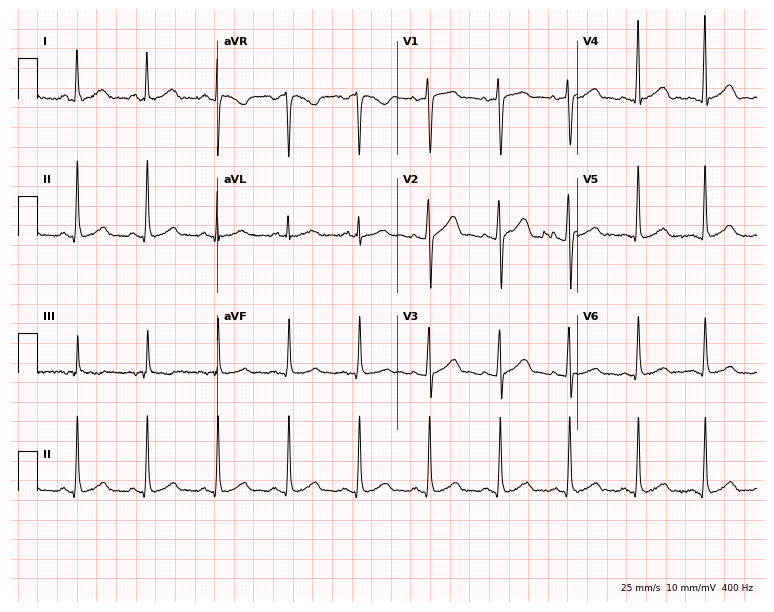
ECG — a female, 50 years old. Labelled as a normal ECG.